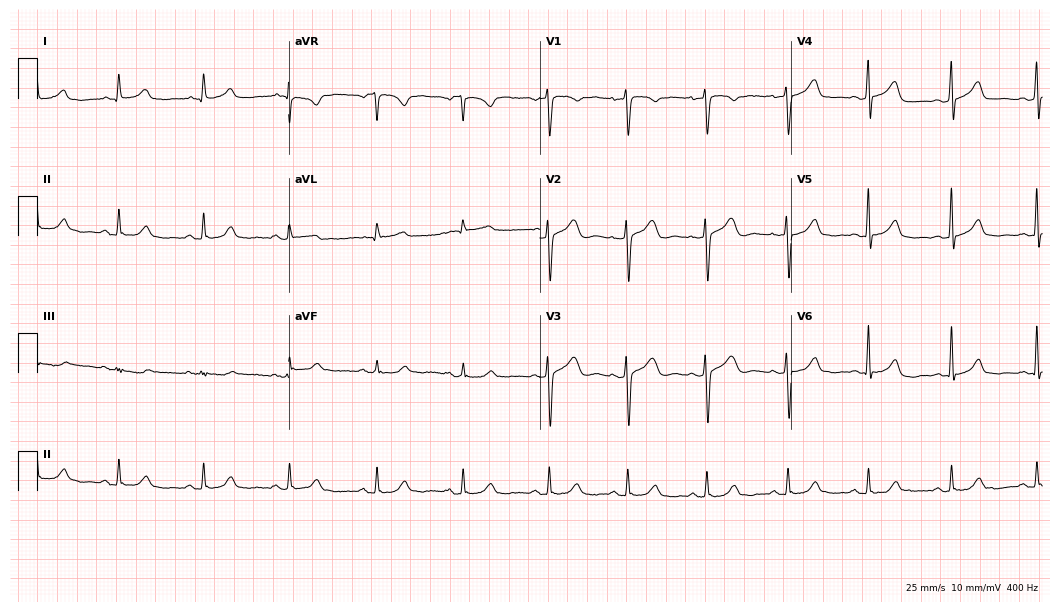
Electrocardiogram, a 54-year-old female patient. Overall reading on record: normal ECG.